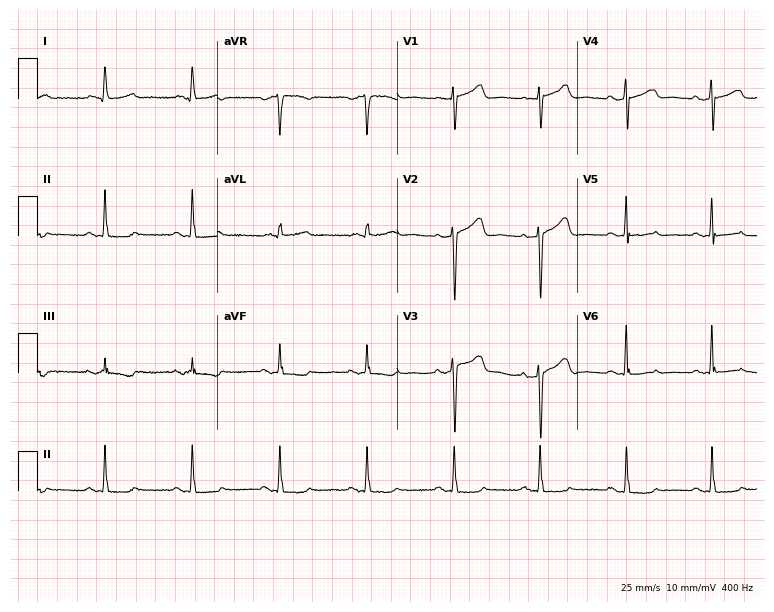
12-lead ECG from a 77-year-old female (7.3-second recording at 400 Hz). No first-degree AV block, right bundle branch block (RBBB), left bundle branch block (LBBB), sinus bradycardia, atrial fibrillation (AF) or sinus tachycardia recorded for this tracing.